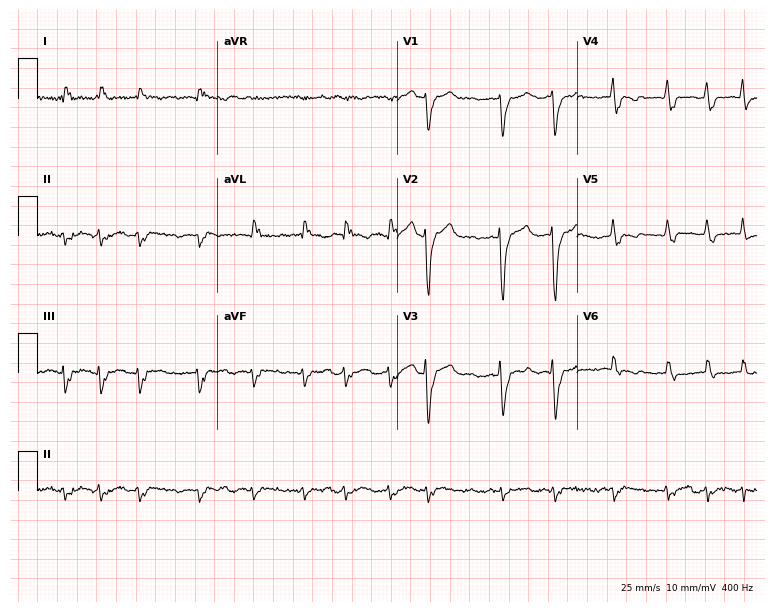
Electrocardiogram, a woman, 70 years old. Interpretation includes atrial fibrillation.